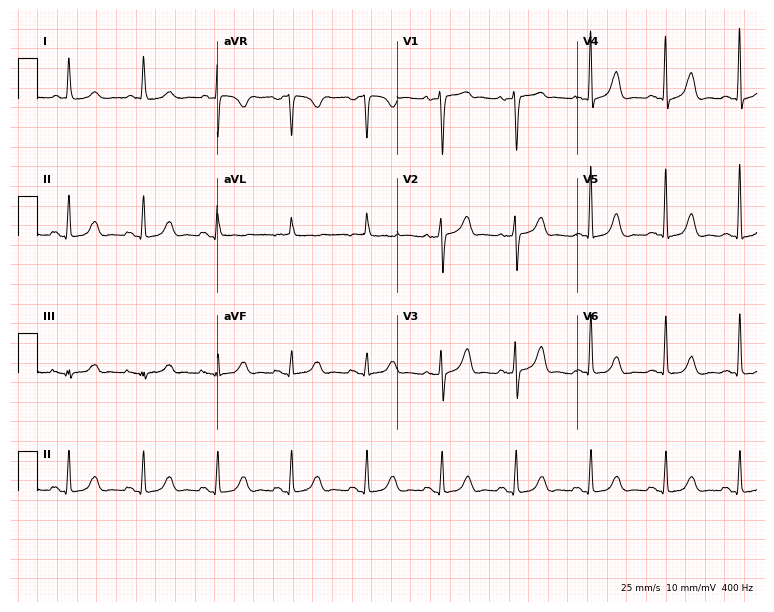
12-lead ECG from a 71-year-old female patient. Recorded interpretation: within normal limits.